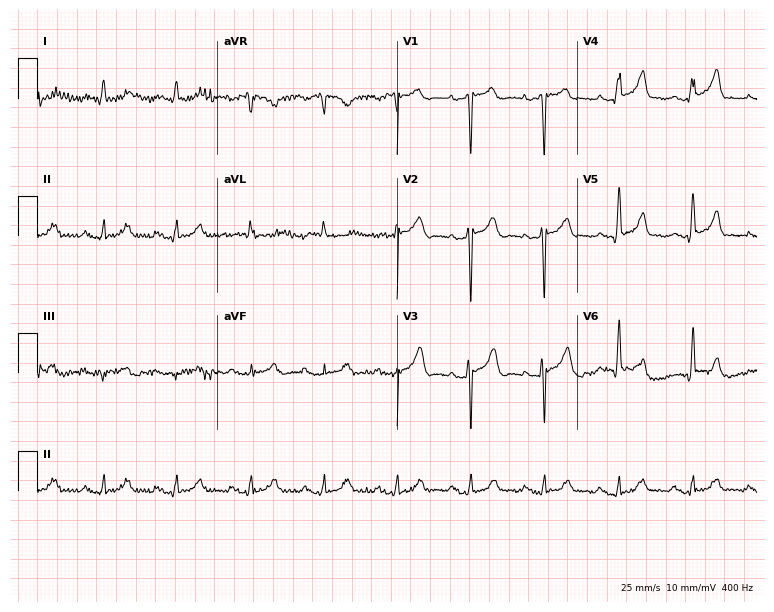
Standard 12-lead ECG recorded from a 77-year-old male. None of these six findings is recorded: first-degree AV block, right bundle branch block, left bundle branch block, sinus bradycardia, atrial fibrillation, sinus tachycardia.